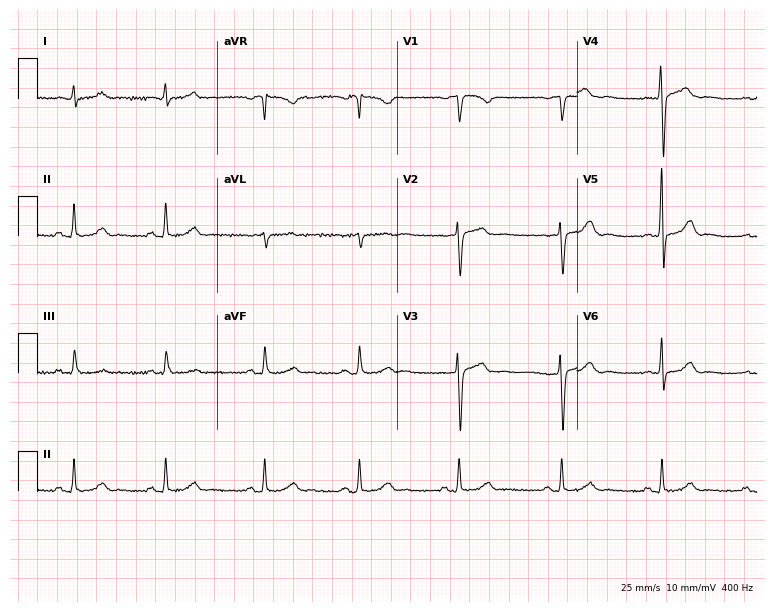
Standard 12-lead ECG recorded from a 40-year-old woman (7.3-second recording at 400 Hz). Read as a normal ECG.